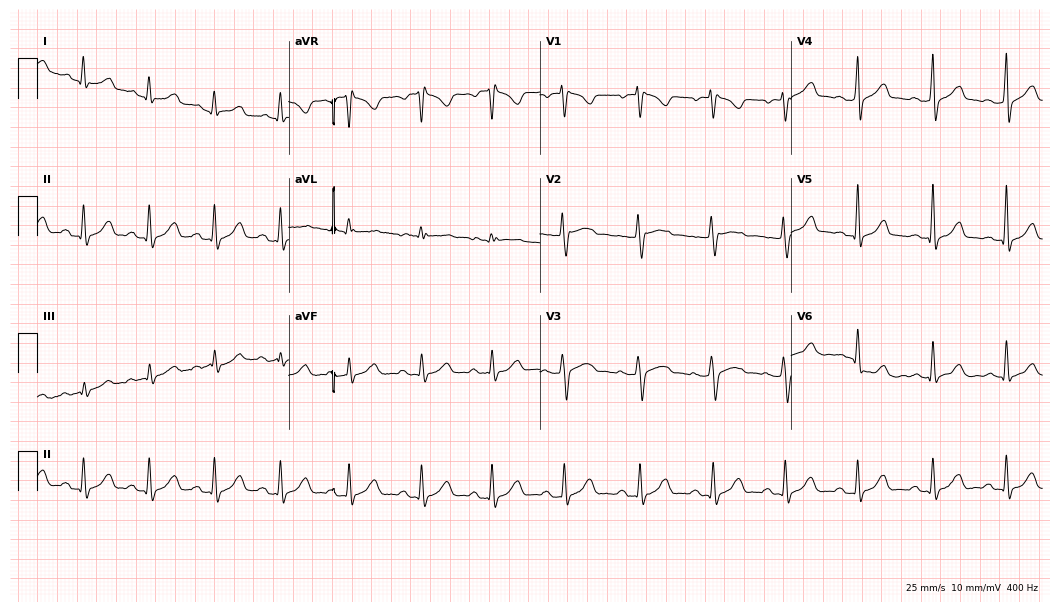
Resting 12-lead electrocardiogram (10.2-second recording at 400 Hz). Patient: a 26-year-old female. None of these six findings is recorded: first-degree AV block, right bundle branch block (RBBB), left bundle branch block (LBBB), sinus bradycardia, atrial fibrillation (AF), sinus tachycardia. Other findings, if any, are not listed.